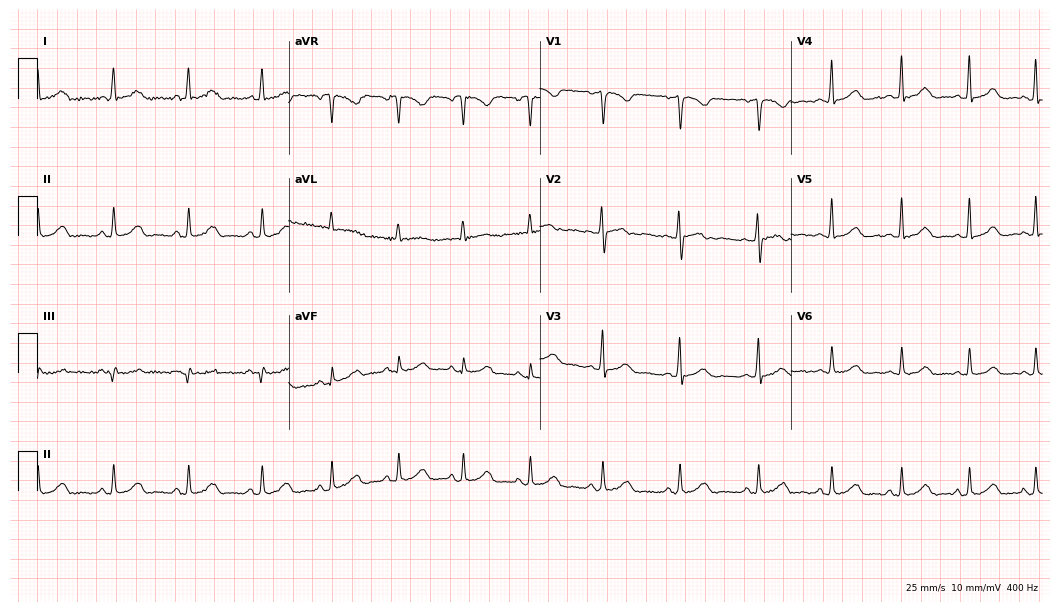
12-lead ECG from a 33-year-old female. No first-degree AV block, right bundle branch block (RBBB), left bundle branch block (LBBB), sinus bradycardia, atrial fibrillation (AF) or sinus tachycardia recorded for this tracing. Only these six findings were labelled.